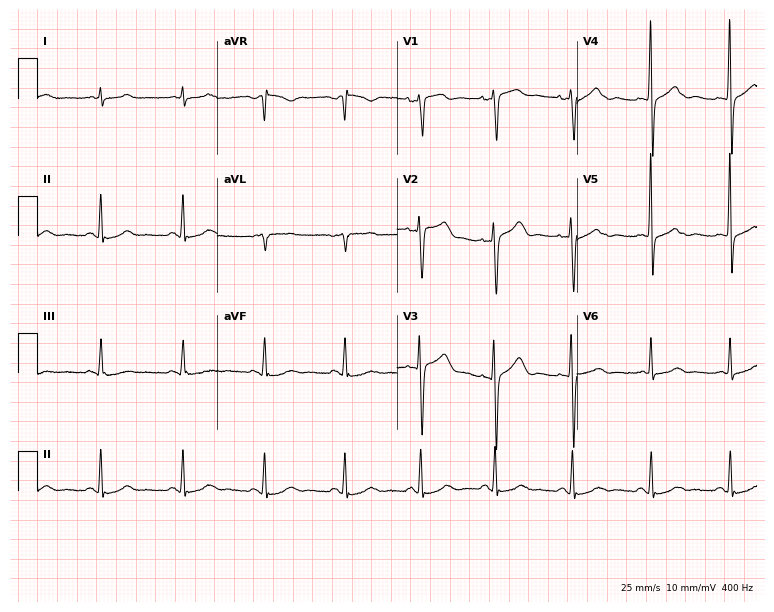
12-lead ECG (7.3-second recording at 400 Hz) from a woman, 62 years old. Labelled as a normal ECG.